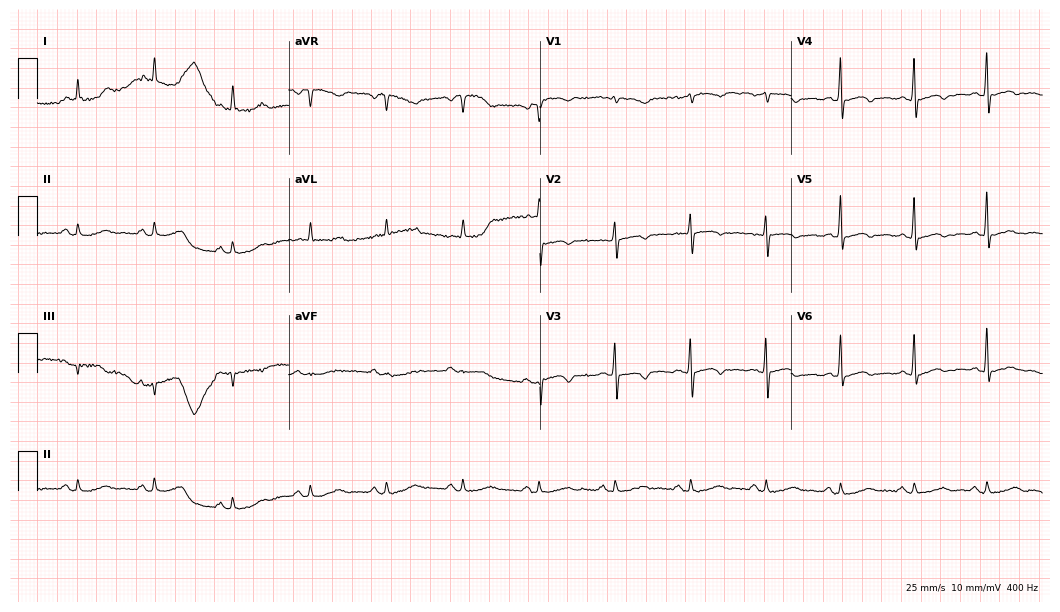
Electrocardiogram, a woman, 61 years old. Overall reading on record: normal ECG.